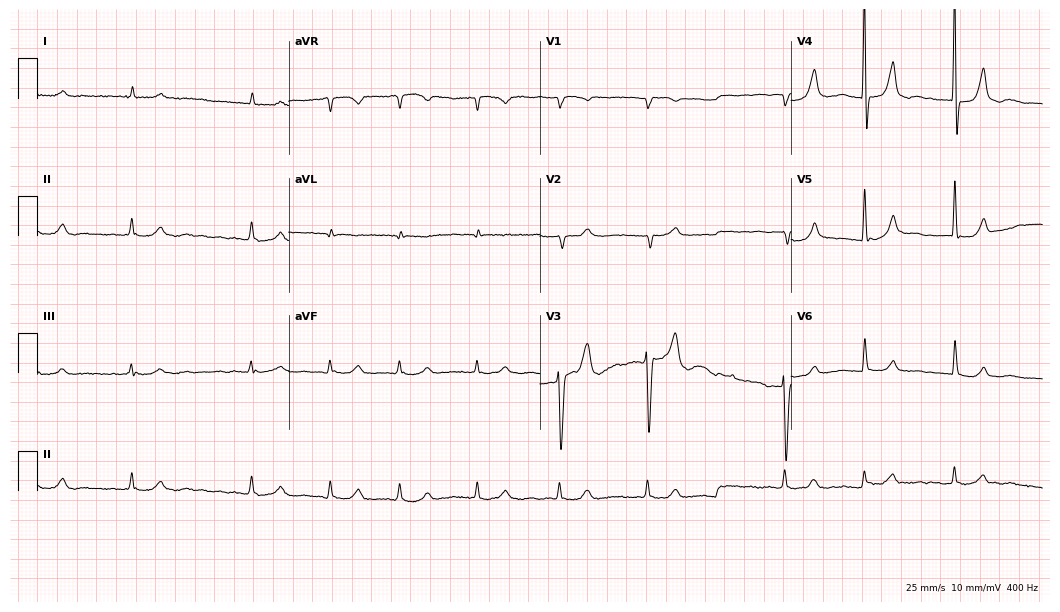
Electrocardiogram, a 72-year-old male. Of the six screened findings (first-degree AV block, right bundle branch block (RBBB), left bundle branch block (LBBB), sinus bradycardia, atrial fibrillation (AF), sinus tachycardia), none is recorded.